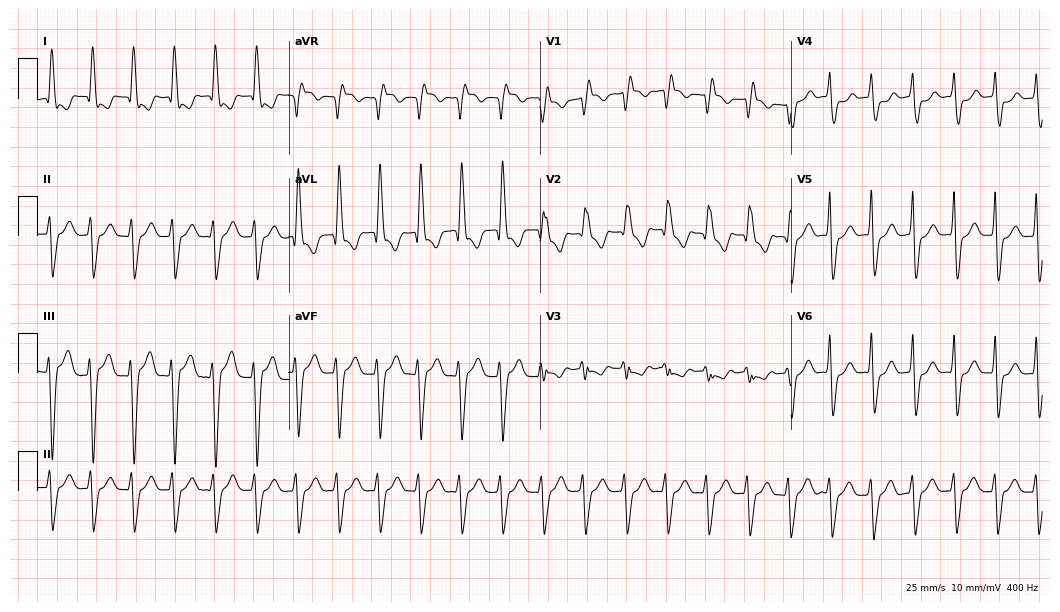
Resting 12-lead electrocardiogram (10.2-second recording at 400 Hz). Patient: a 77-year-old woman. The tracing shows right bundle branch block.